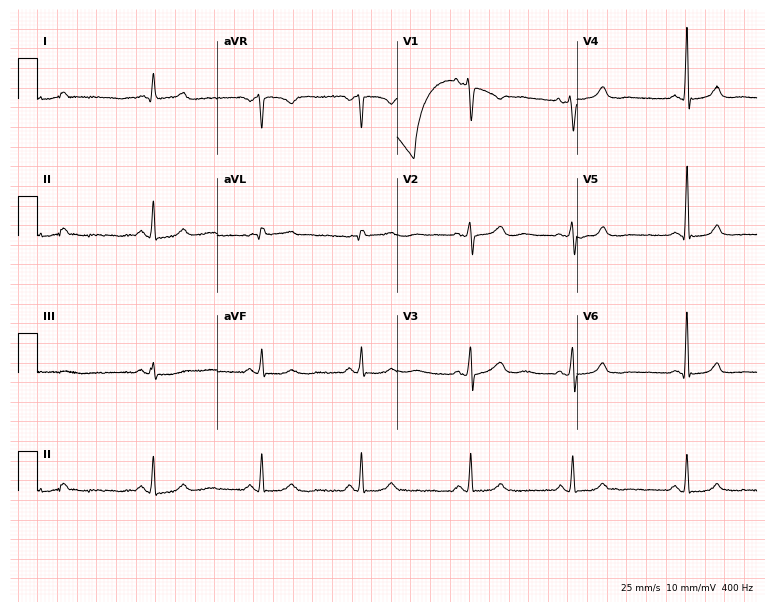
ECG — a female patient, 31 years old. Labelled as a normal ECG.